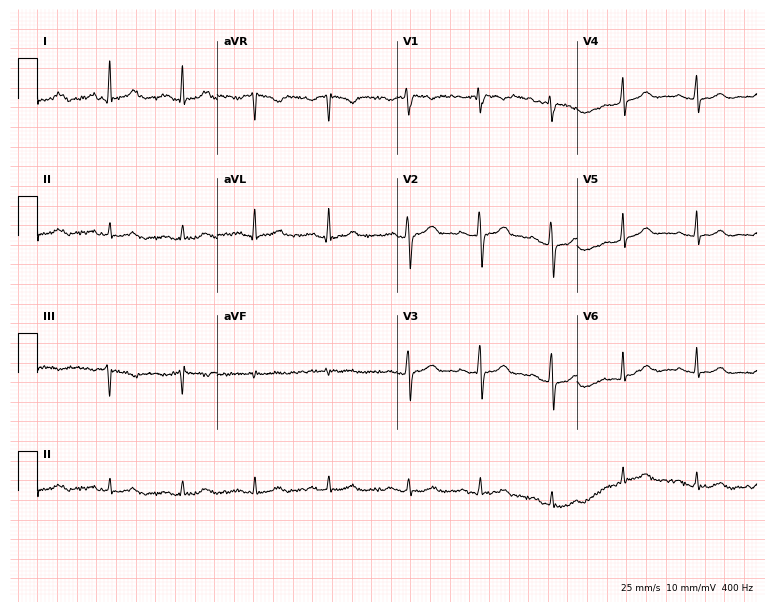
12-lead ECG from a female patient, 28 years old (7.3-second recording at 400 Hz). No first-degree AV block, right bundle branch block, left bundle branch block, sinus bradycardia, atrial fibrillation or sinus tachycardia recorded for this tracing.